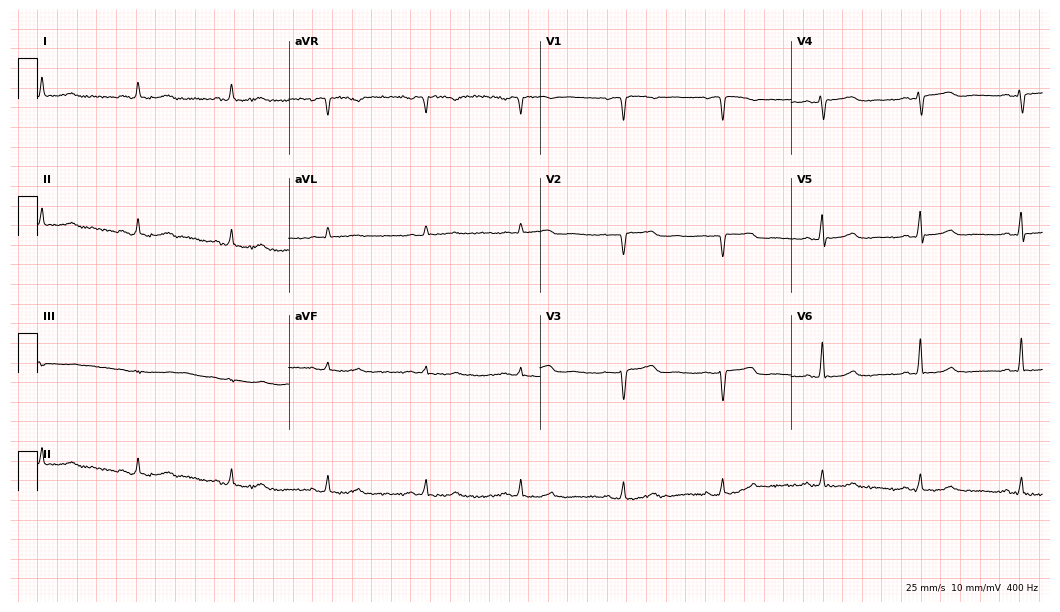
Electrocardiogram (10.2-second recording at 400 Hz), a woman, 54 years old. Overall reading on record: normal ECG.